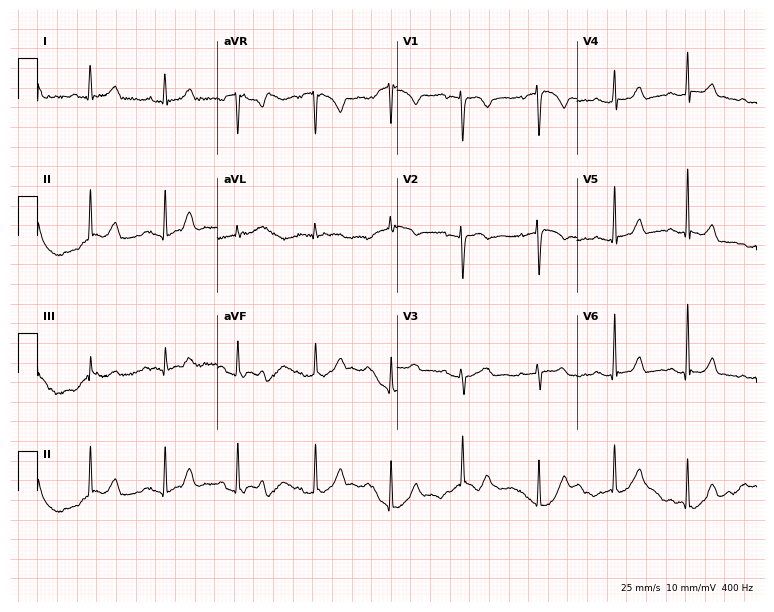
Electrocardiogram, a female, 34 years old. Overall reading on record: normal ECG.